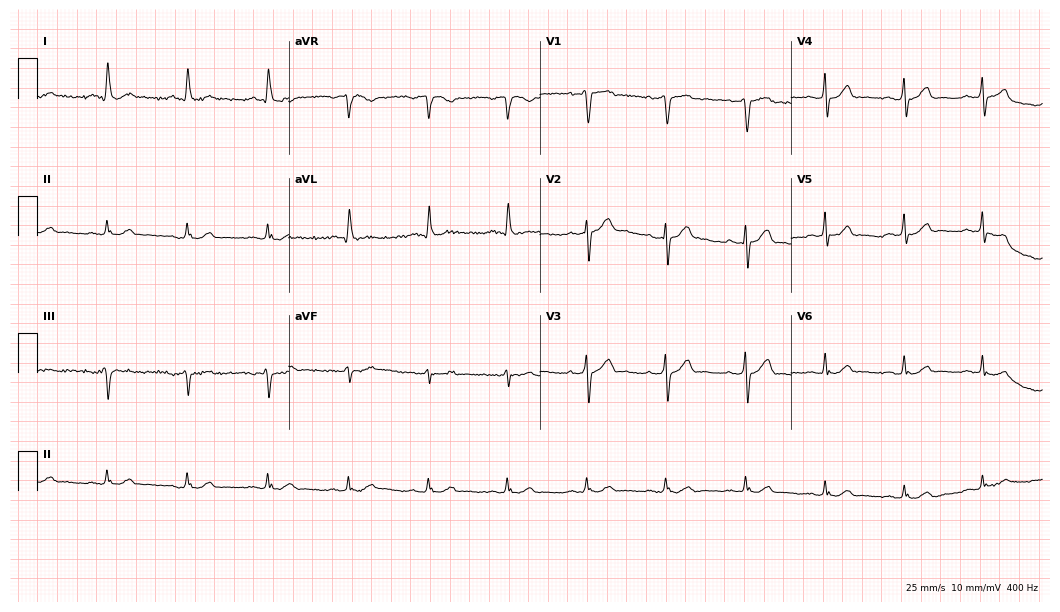
Resting 12-lead electrocardiogram (10.2-second recording at 400 Hz). Patient: a 45-year-old male. Read as a normal ECG.